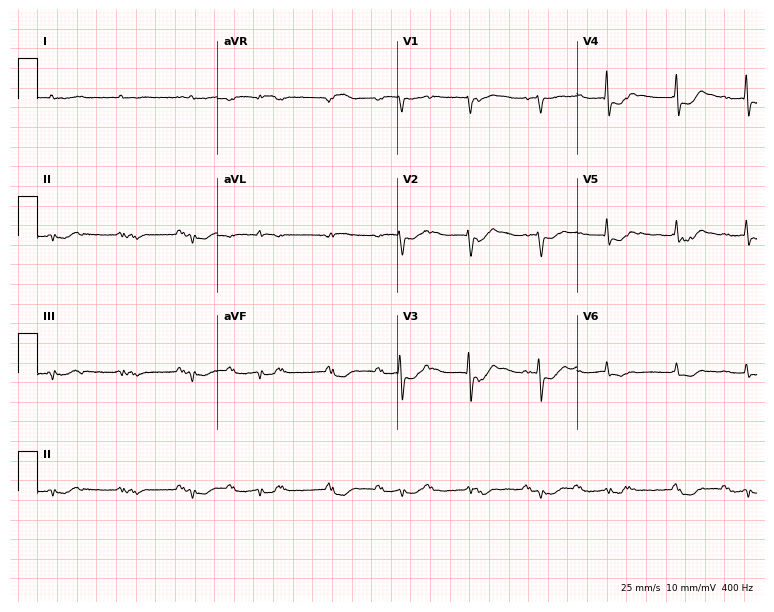
Standard 12-lead ECG recorded from a male, 85 years old. None of these six findings is recorded: first-degree AV block, right bundle branch block, left bundle branch block, sinus bradycardia, atrial fibrillation, sinus tachycardia. Findings outside these six are not listed.